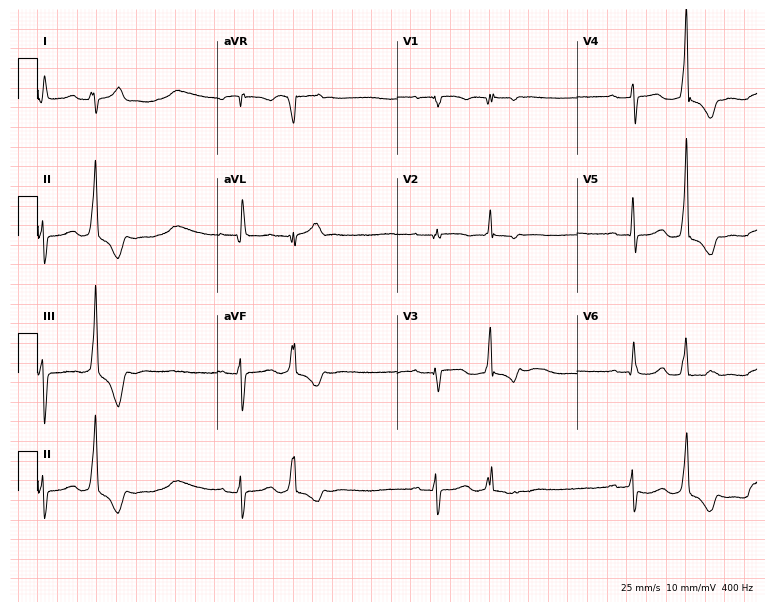
Resting 12-lead electrocardiogram (7.3-second recording at 400 Hz). Patient: a 37-year-old female. None of these six findings is recorded: first-degree AV block, right bundle branch block, left bundle branch block, sinus bradycardia, atrial fibrillation, sinus tachycardia. Only these six findings were labelled.